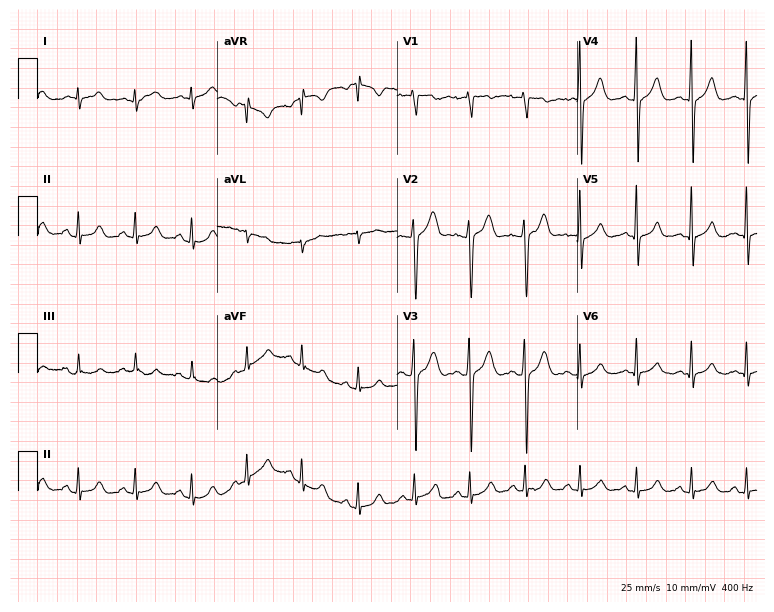
Electrocardiogram, a 20-year-old male. Overall reading on record: normal ECG.